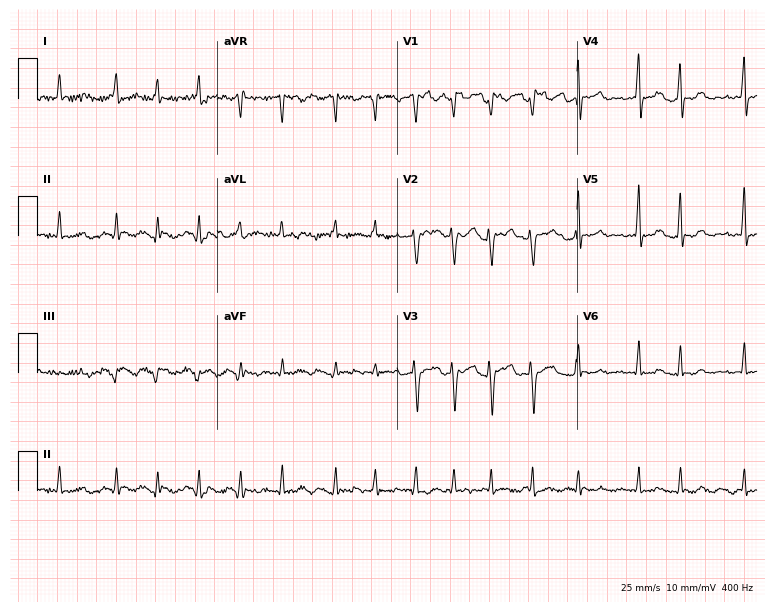
Resting 12-lead electrocardiogram. Patient: a woman, 48 years old. The tracing shows atrial fibrillation (AF).